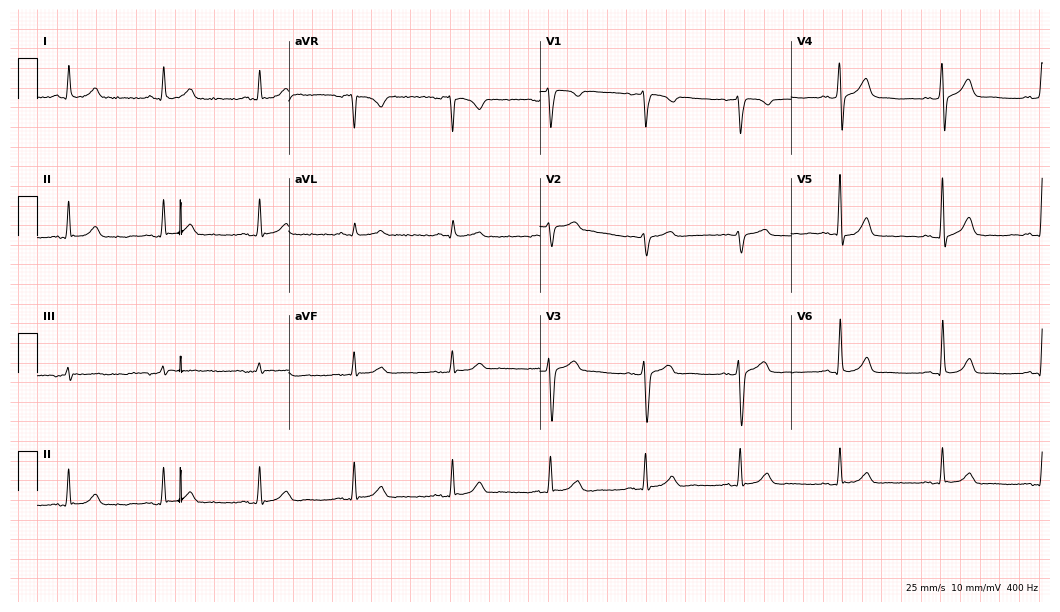
Standard 12-lead ECG recorded from a 37-year-old man. Read as a normal ECG.